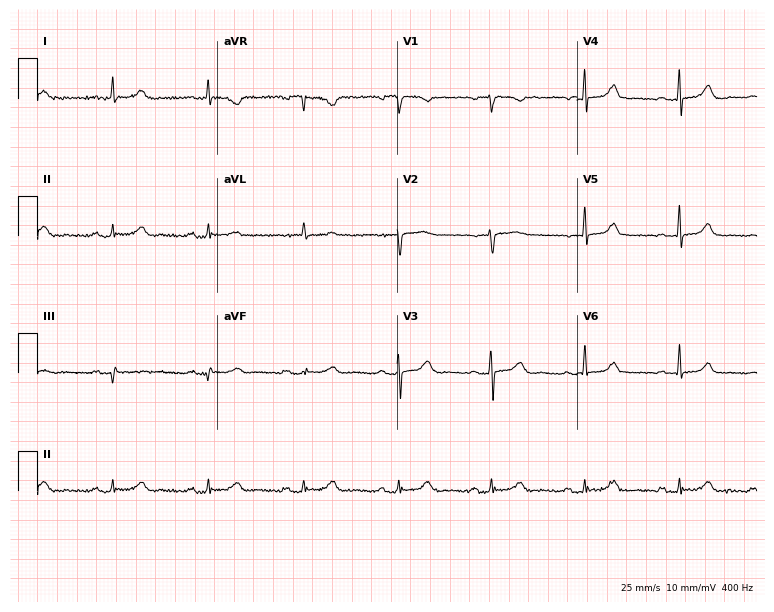
Standard 12-lead ECG recorded from a woman, 81 years old (7.3-second recording at 400 Hz). Read as a normal ECG.